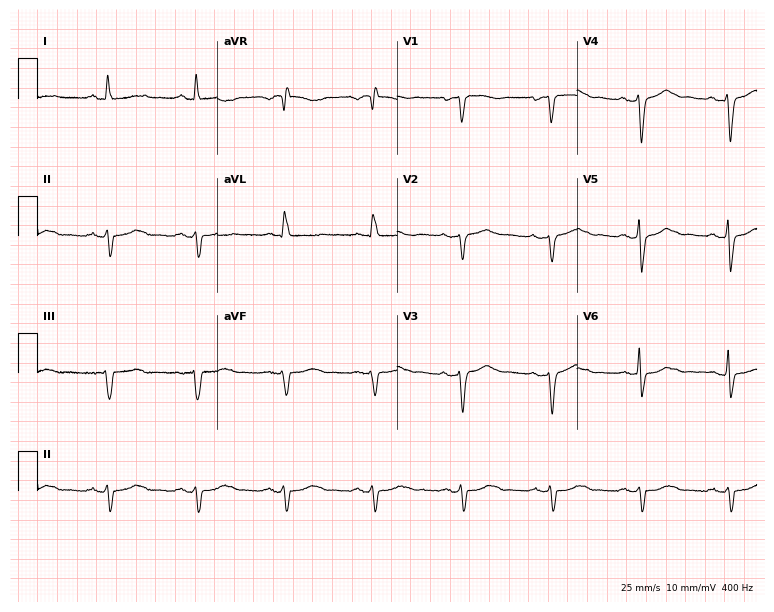
Resting 12-lead electrocardiogram. Patient: a 77-year-old female. None of these six findings is recorded: first-degree AV block, right bundle branch block (RBBB), left bundle branch block (LBBB), sinus bradycardia, atrial fibrillation (AF), sinus tachycardia.